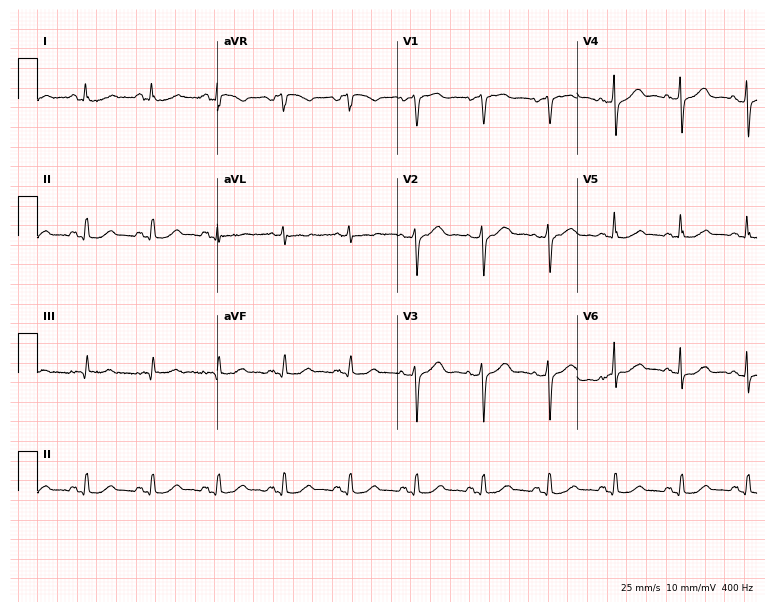
12-lead ECG from a woman, 72 years old. Screened for six findings — first-degree AV block, right bundle branch block, left bundle branch block, sinus bradycardia, atrial fibrillation, sinus tachycardia — none is recorded. Other findings, if any, are not listed.